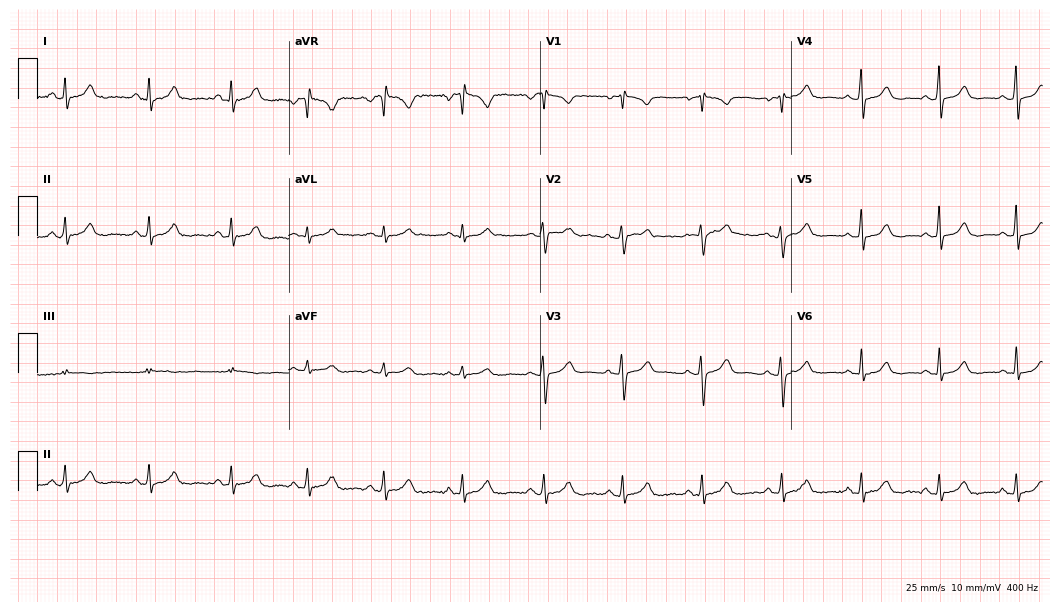
12-lead ECG from a 30-year-old woman. Recorded interpretation: within normal limits.